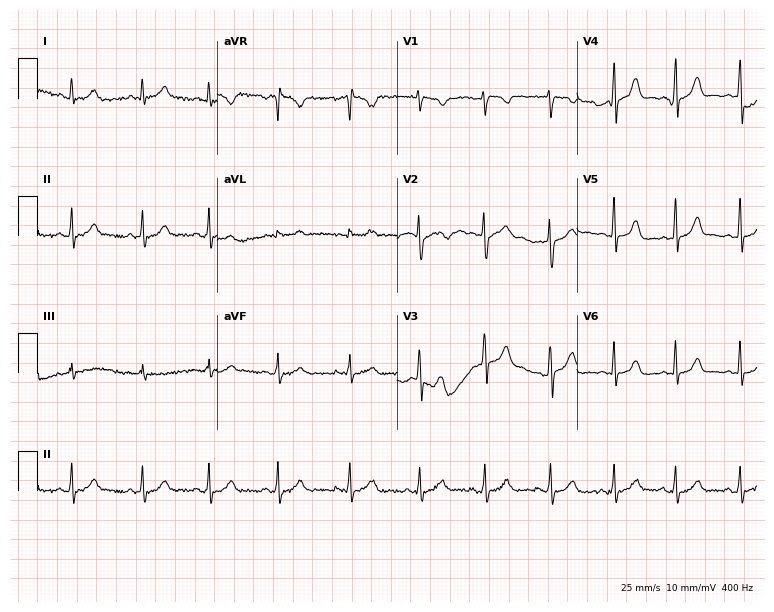
Standard 12-lead ECG recorded from a 26-year-old woman (7.3-second recording at 400 Hz). None of these six findings is recorded: first-degree AV block, right bundle branch block, left bundle branch block, sinus bradycardia, atrial fibrillation, sinus tachycardia.